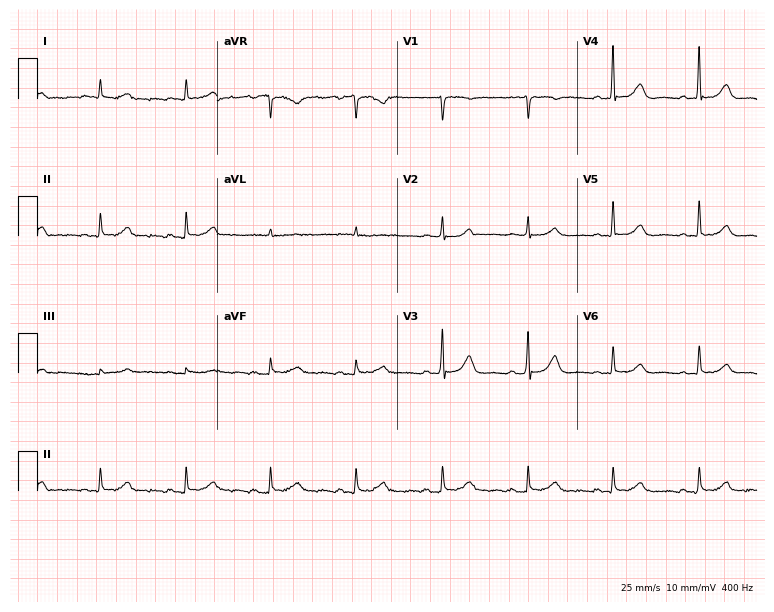
12-lead ECG from a female, 73 years old. Screened for six findings — first-degree AV block, right bundle branch block, left bundle branch block, sinus bradycardia, atrial fibrillation, sinus tachycardia — none is recorded. Only these six findings were labelled.